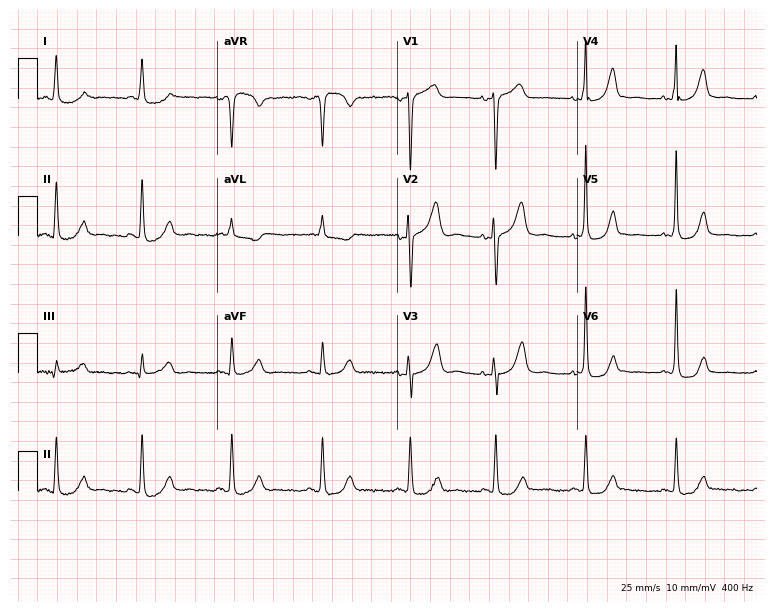
Resting 12-lead electrocardiogram. Patient: a female, 85 years old. Read as a normal ECG.